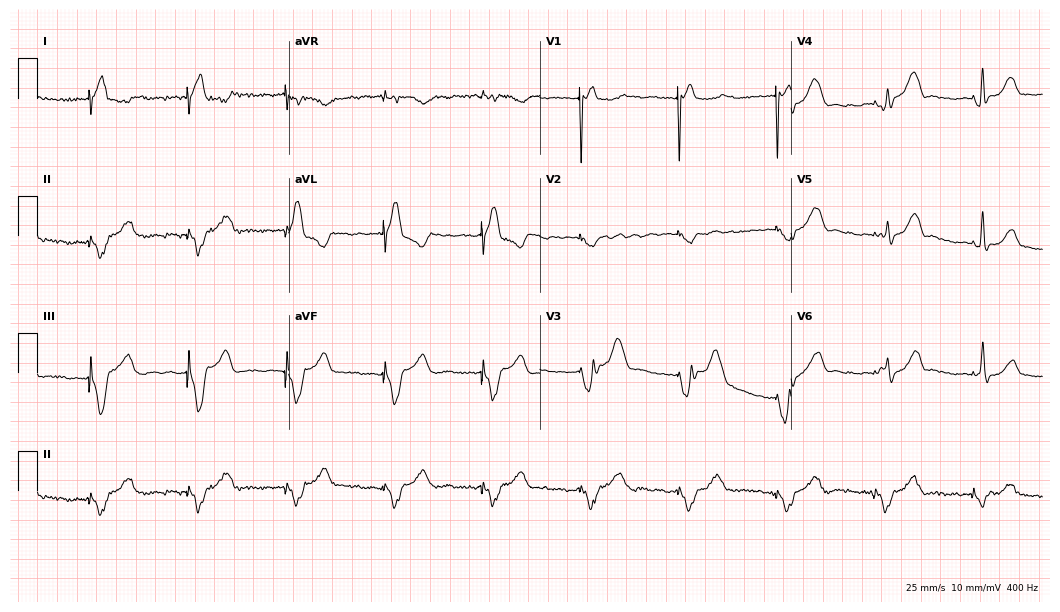
12-lead ECG from an 81-year-old woman. No first-degree AV block, right bundle branch block (RBBB), left bundle branch block (LBBB), sinus bradycardia, atrial fibrillation (AF) or sinus tachycardia recorded for this tracing. Other findings, if any, are not listed.